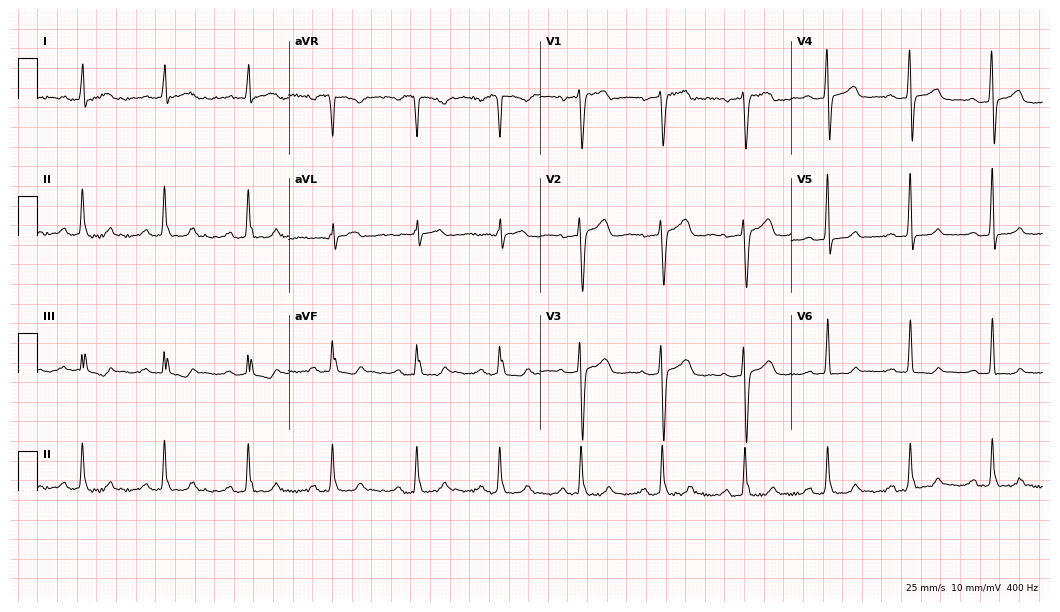
12-lead ECG from a woman, 55 years old (10.2-second recording at 400 Hz). No first-degree AV block, right bundle branch block, left bundle branch block, sinus bradycardia, atrial fibrillation or sinus tachycardia recorded for this tracing.